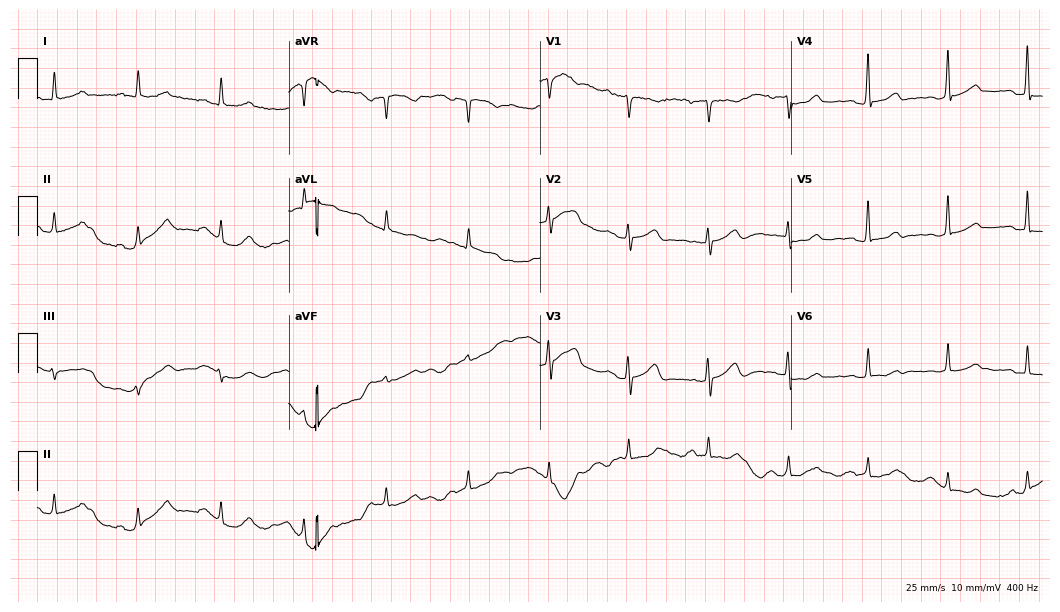
ECG — a 58-year-old female. Screened for six findings — first-degree AV block, right bundle branch block, left bundle branch block, sinus bradycardia, atrial fibrillation, sinus tachycardia — none is recorded. Only these six findings were labelled.